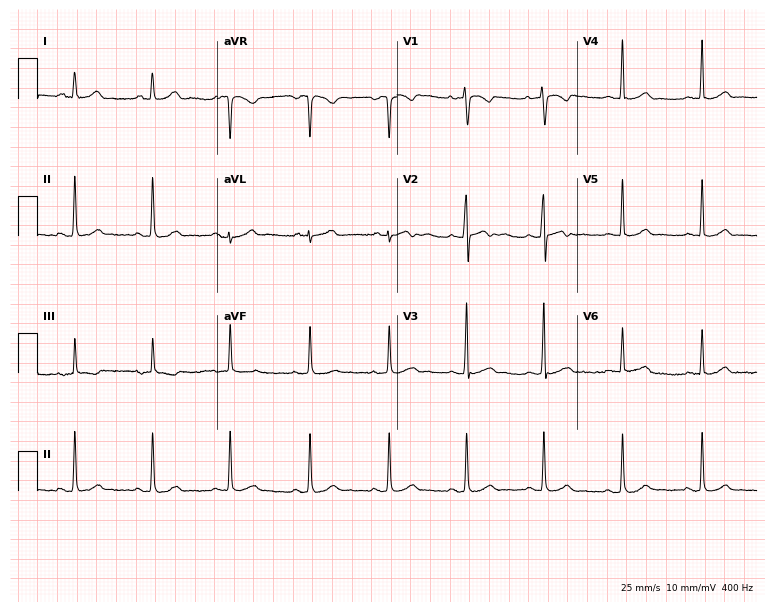
Electrocardiogram, a woman, 23 years old. Overall reading on record: normal ECG.